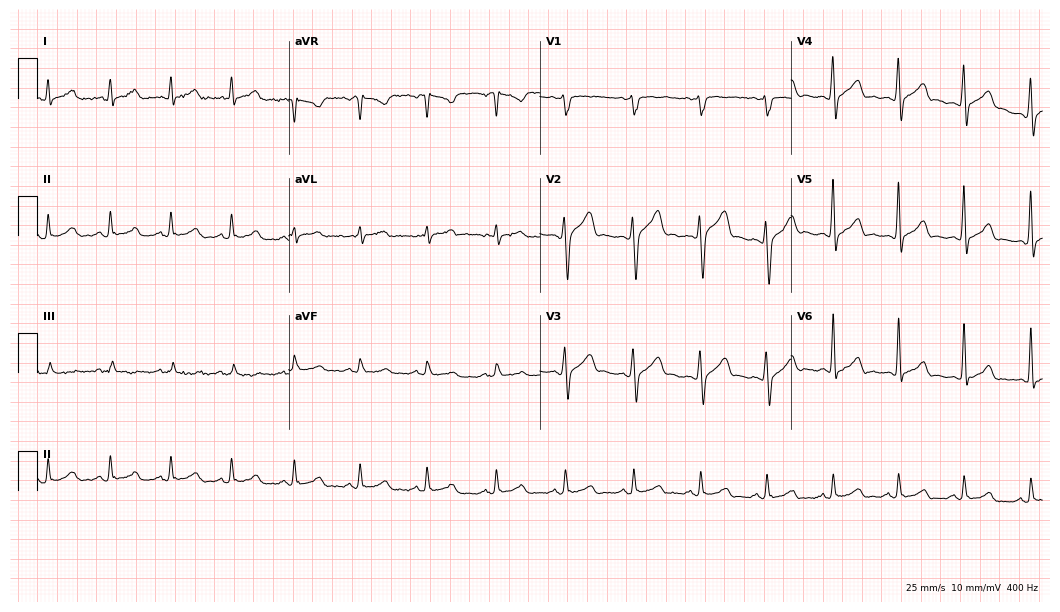
12-lead ECG from a male patient, 34 years old (10.2-second recording at 400 Hz). No first-degree AV block, right bundle branch block (RBBB), left bundle branch block (LBBB), sinus bradycardia, atrial fibrillation (AF) or sinus tachycardia recorded for this tracing. Other findings, if any, are not listed.